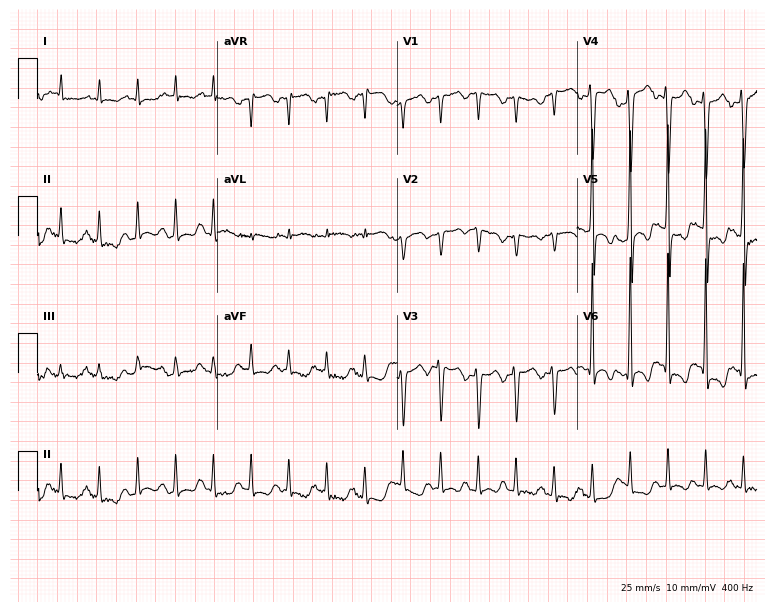
Electrocardiogram, an 83-year-old female patient. Of the six screened findings (first-degree AV block, right bundle branch block, left bundle branch block, sinus bradycardia, atrial fibrillation, sinus tachycardia), none is recorded.